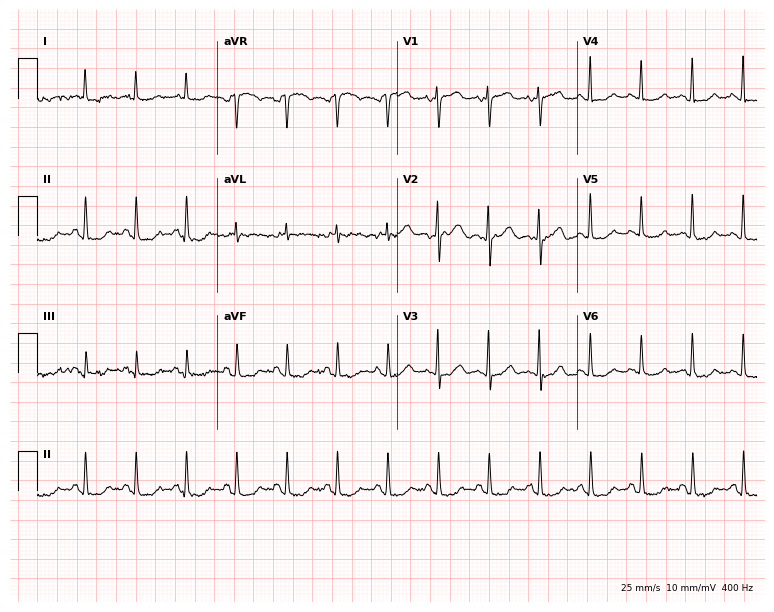
Resting 12-lead electrocardiogram. Patient: an 85-year-old woman. The tracing shows sinus tachycardia (a sinus rate of 100 beats per minute or more).